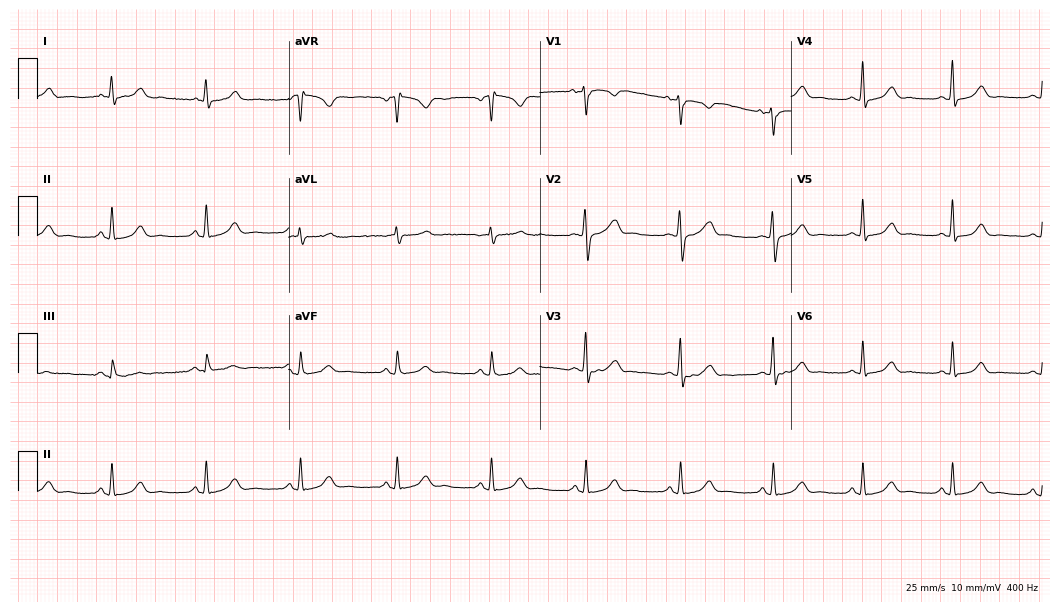
ECG — a woman, 55 years old. Labelled as a normal ECG.